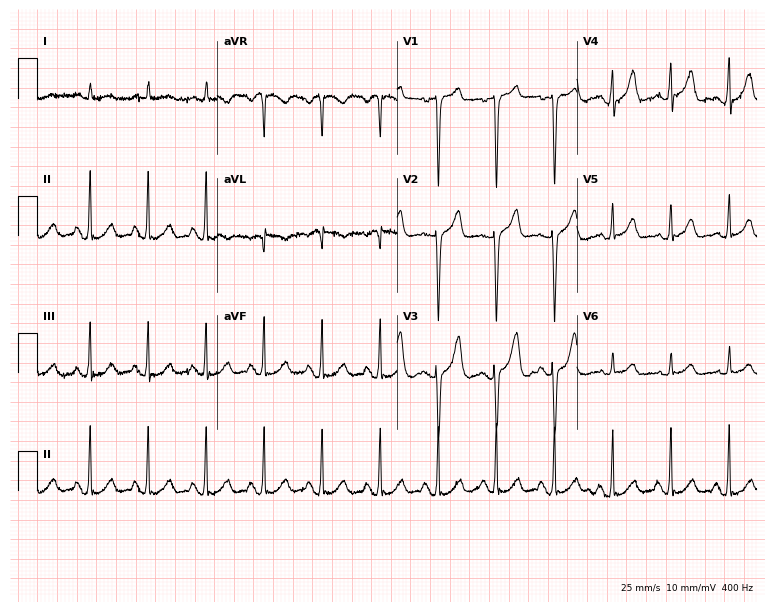
Resting 12-lead electrocardiogram (7.3-second recording at 400 Hz). Patient: a male, 75 years old. The tracing shows sinus tachycardia (a sinus rate of 100 beats per minute or more).